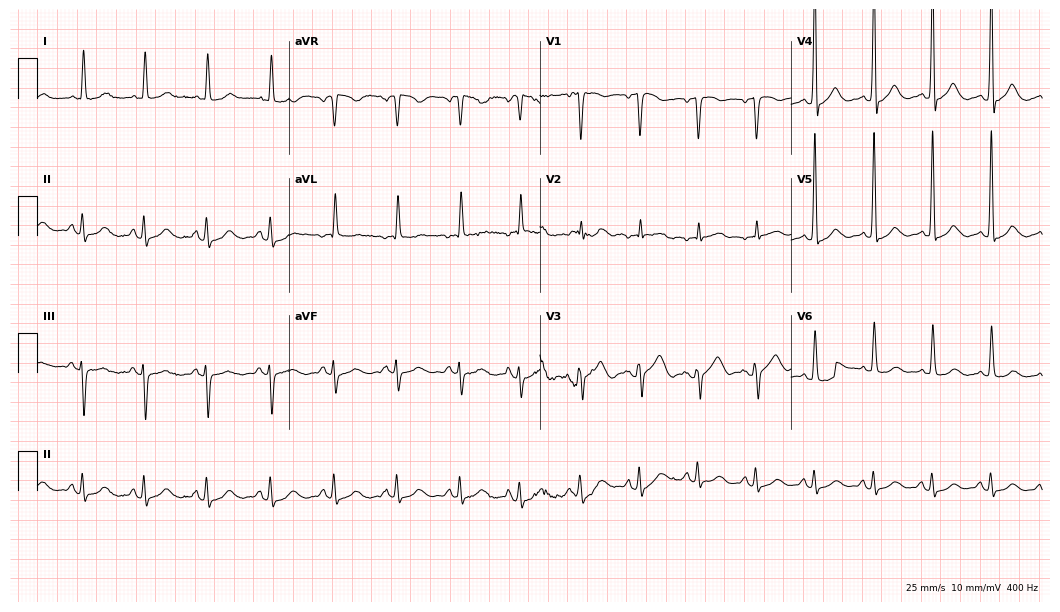
Resting 12-lead electrocardiogram. Patient: a 79-year-old woman. Read as a normal ECG.